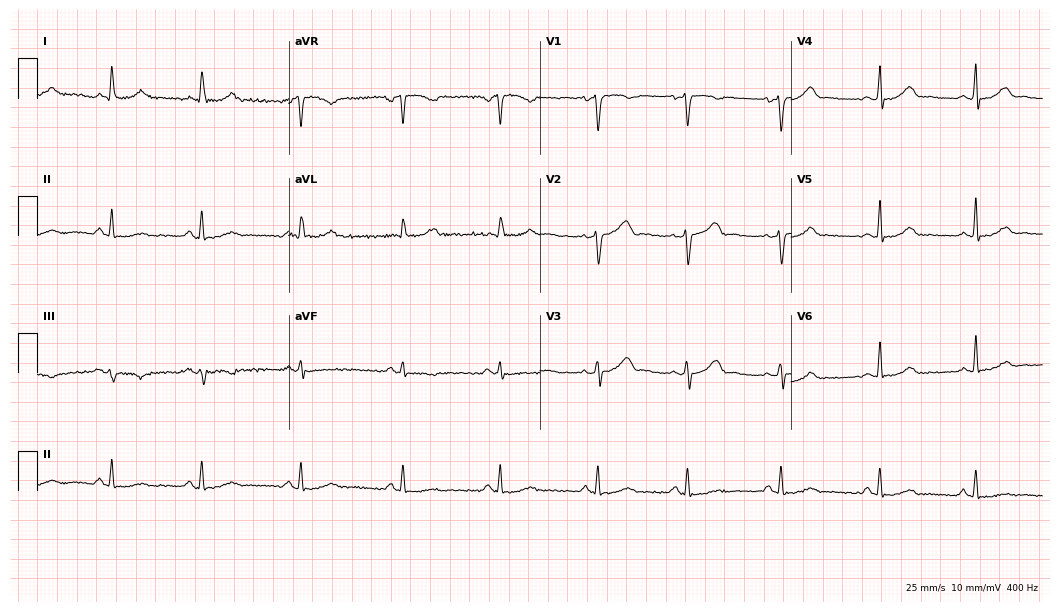
Standard 12-lead ECG recorded from a female patient, 32 years old (10.2-second recording at 400 Hz). None of these six findings is recorded: first-degree AV block, right bundle branch block (RBBB), left bundle branch block (LBBB), sinus bradycardia, atrial fibrillation (AF), sinus tachycardia. Findings outside these six are not listed.